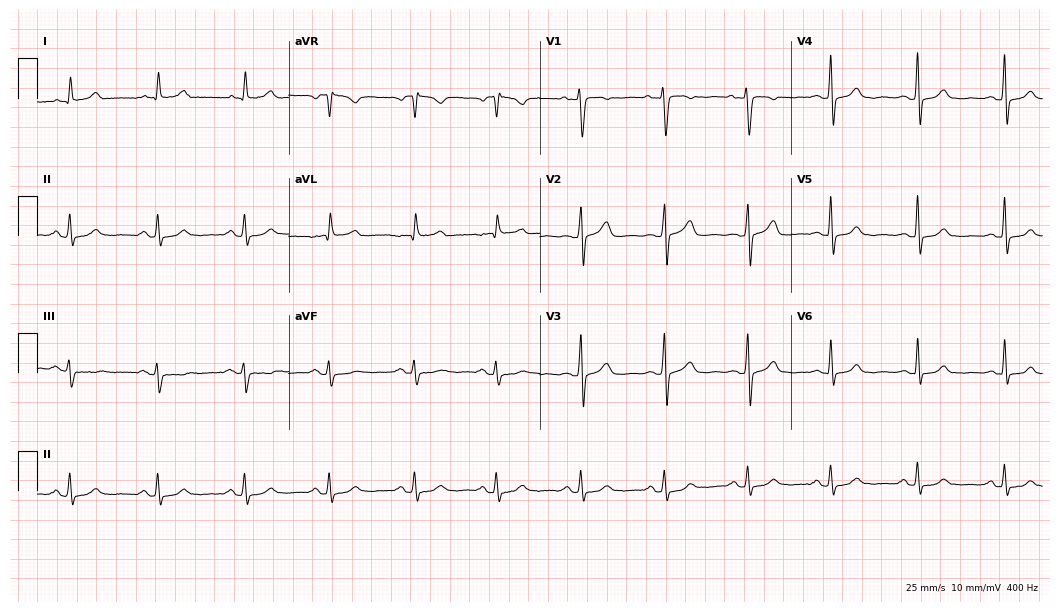
Standard 12-lead ECG recorded from a female patient, 46 years old (10.2-second recording at 400 Hz). Read as a normal ECG.